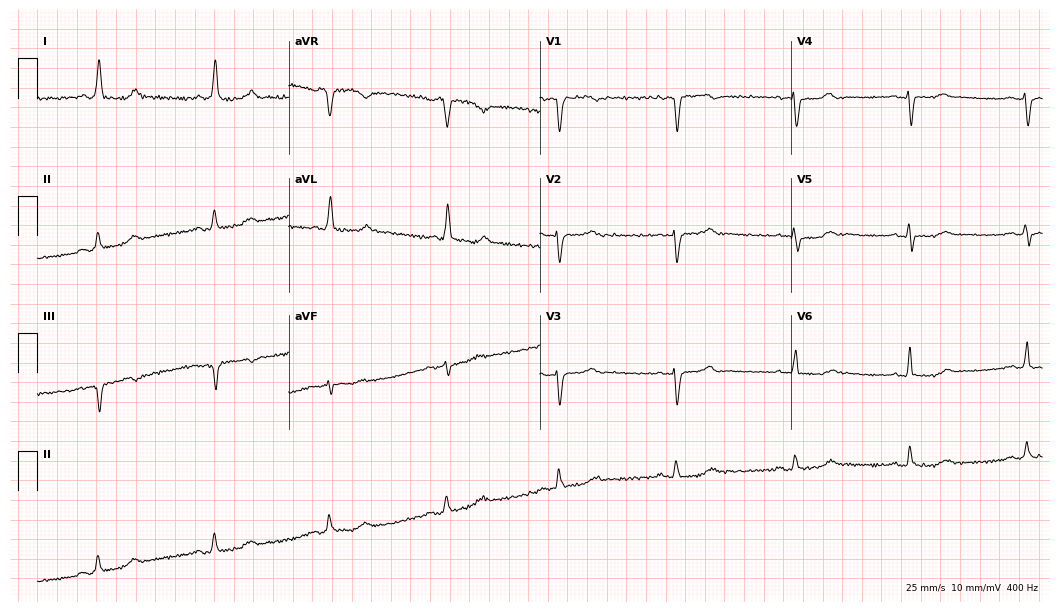
Standard 12-lead ECG recorded from a 76-year-old female patient. None of these six findings is recorded: first-degree AV block, right bundle branch block, left bundle branch block, sinus bradycardia, atrial fibrillation, sinus tachycardia. Only these six findings were labelled.